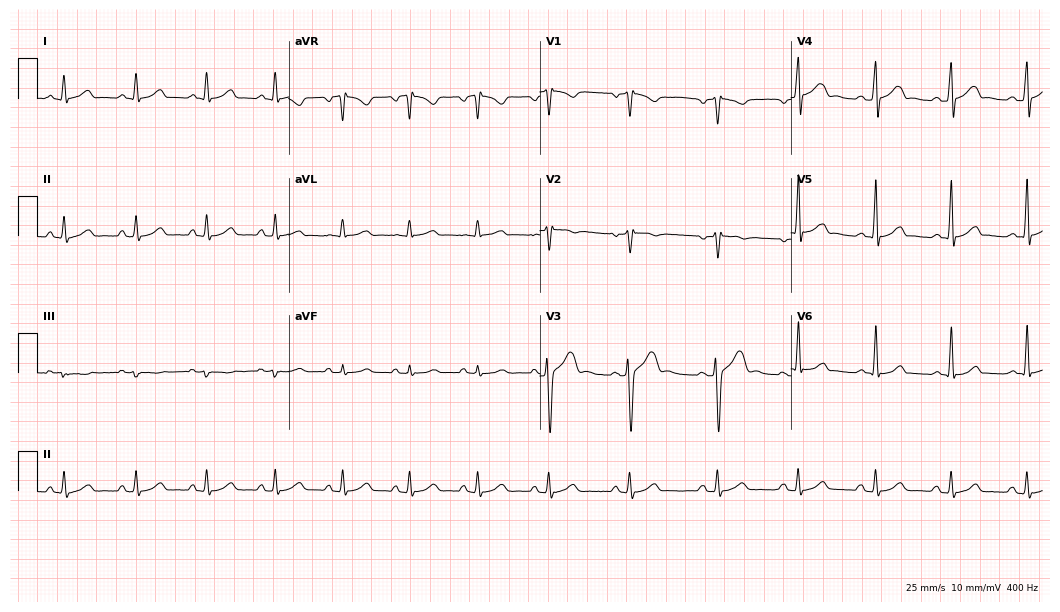
ECG (10.2-second recording at 400 Hz) — a male, 30 years old. Labelled as a normal ECG.